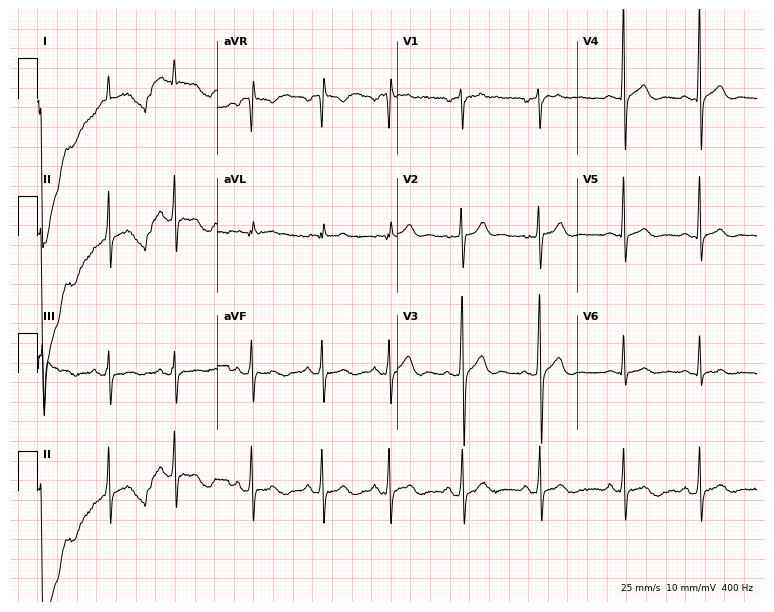
Standard 12-lead ECG recorded from an 18-year-old male (7.3-second recording at 400 Hz). Read as a normal ECG.